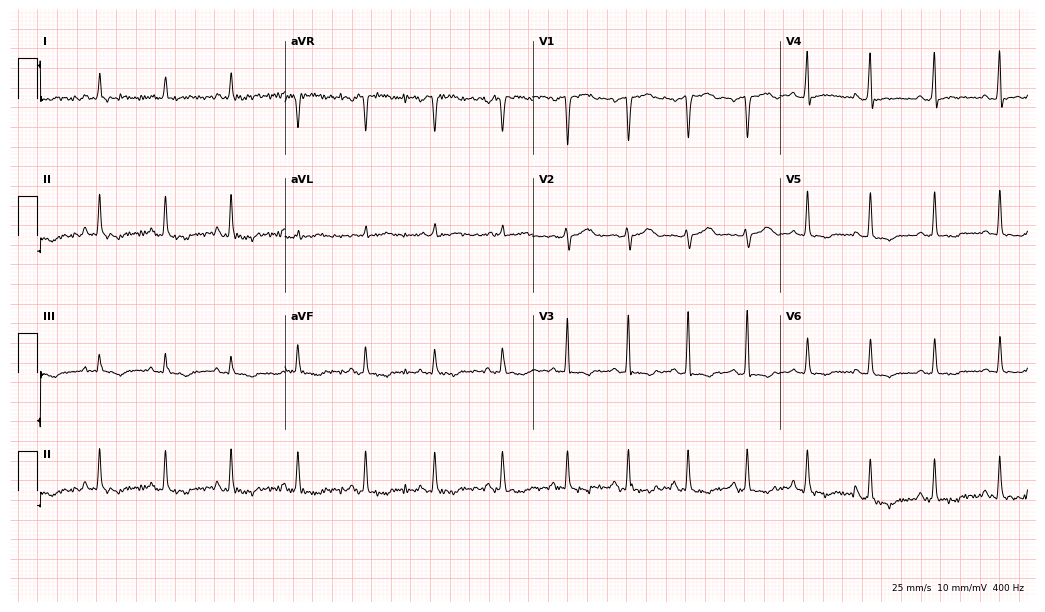
12-lead ECG from a 46-year-old woman. Screened for six findings — first-degree AV block, right bundle branch block, left bundle branch block, sinus bradycardia, atrial fibrillation, sinus tachycardia — none is recorded. Other findings, if any, are not listed.